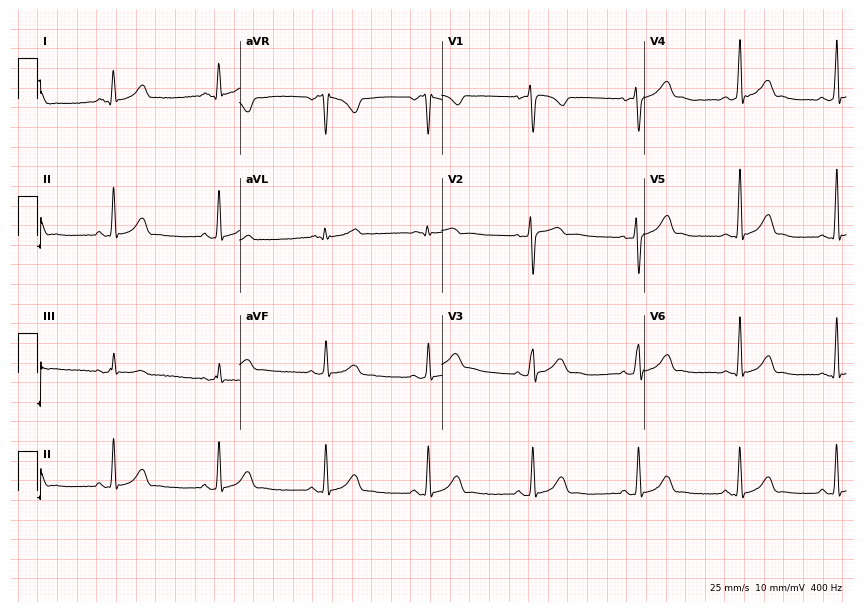
ECG — a 21-year-old woman. Labelled as a normal ECG.